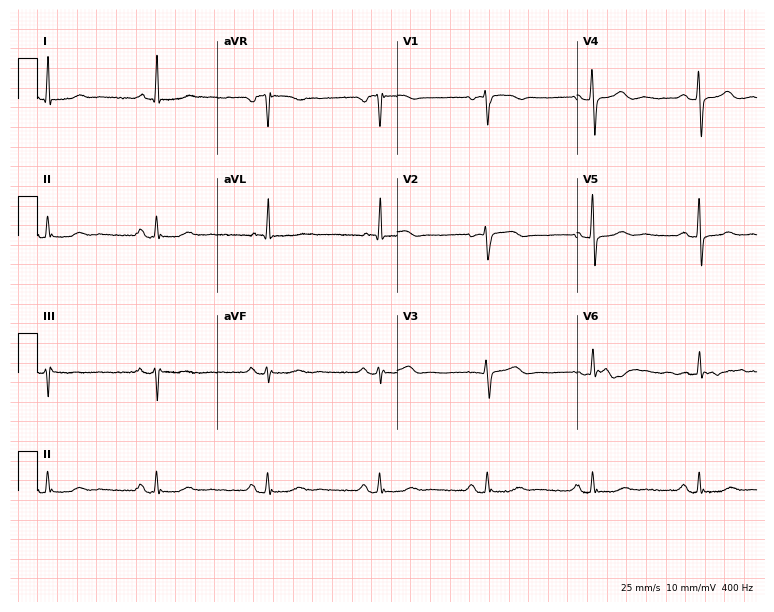
Standard 12-lead ECG recorded from a female, 62 years old. Read as a normal ECG.